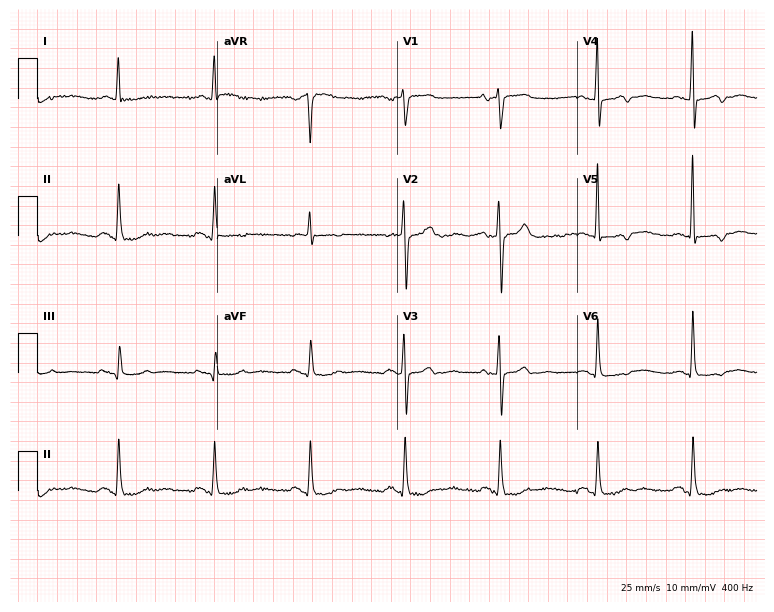
ECG — a woman, 65 years old. Screened for six findings — first-degree AV block, right bundle branch block (RBBB), left bundle branch block (LBBB), sinus bradycardia, atrial fibrillation (AF), sinus tachycardia — none is recorded. Only these six findings were labelled.